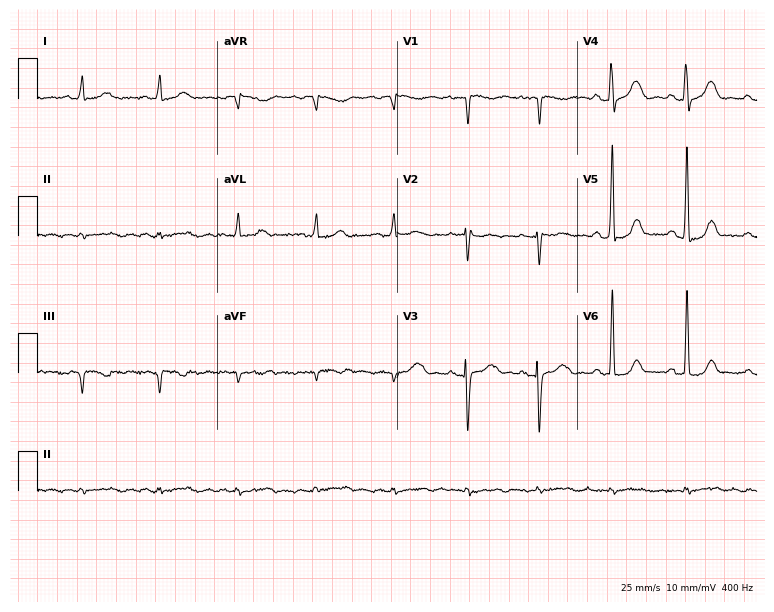
12-lead ECG (7.3-second recording at 400 Hz) from a woman, 35 years old. Labelled as a normal ECG.